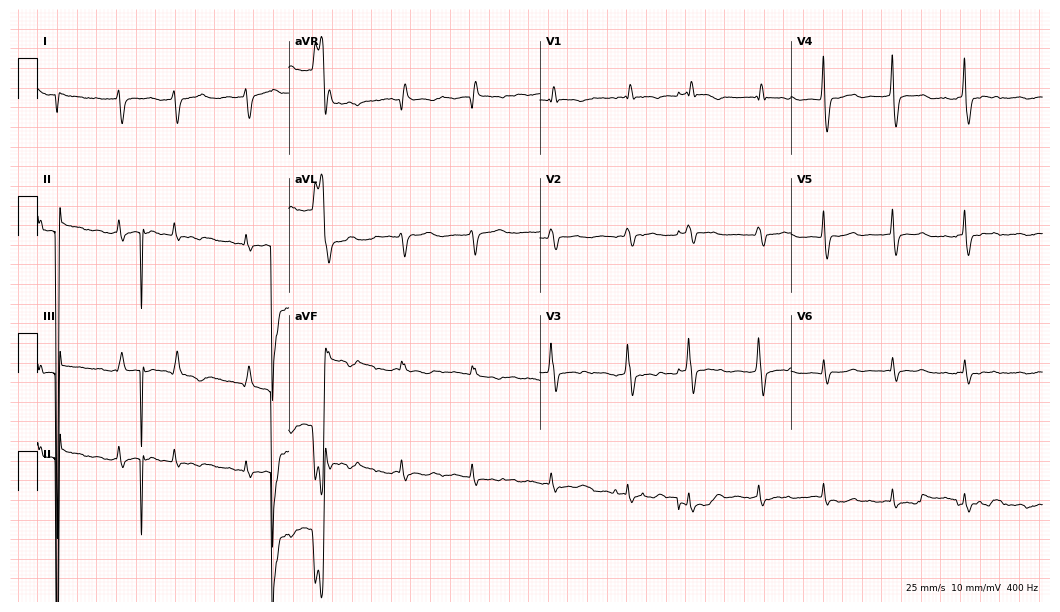
Resting 12-lead electrocardiogram (10.2-second recording at 400 Hz). Patient: a female, 46 years old. None of these six findings is recorded: first-degree AV block, right bundle branch block, left bundle branch block, sinus bradycardia, atrial fibrillation, sinus tachycardia.